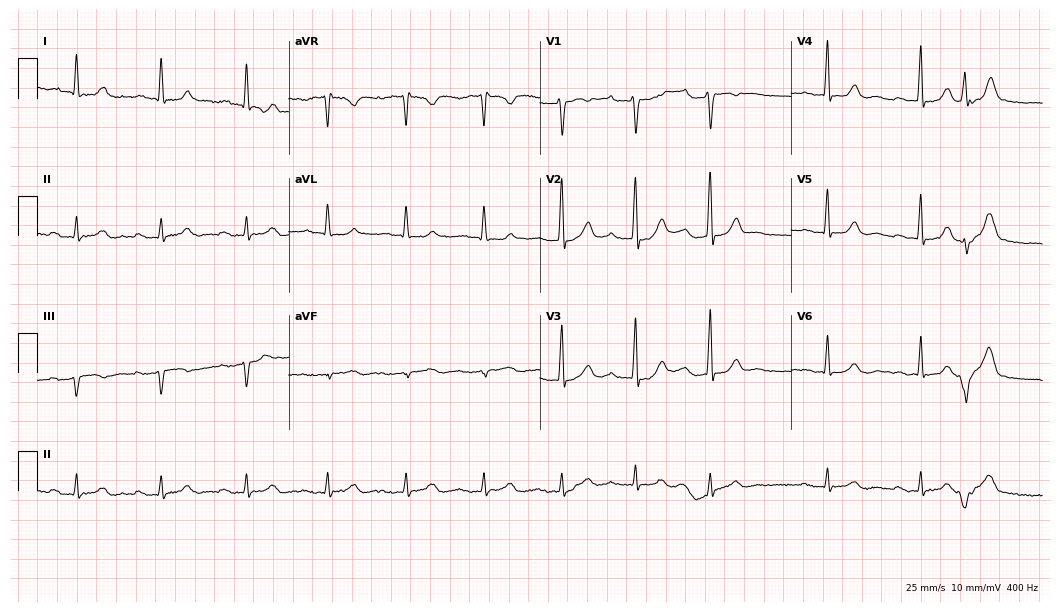
Electrocardiogram (10.2-second recording at 400 Hz), a male, 82 years old. Interpretation includes first-degree AV block.